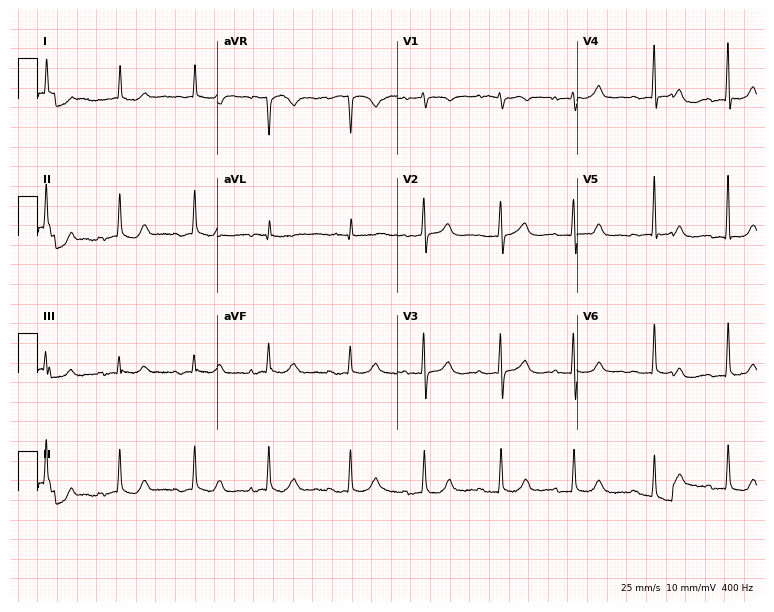
Resting 12-lead electrocardiogram. Patient: an 85-year-old female. None of these six findings is recorded: first-degree AV block, right bundle branch block, left bundle branch block, sinus bradycardia, atrial fibrillation, sinus tachycardia. Only these six findings were labelled.